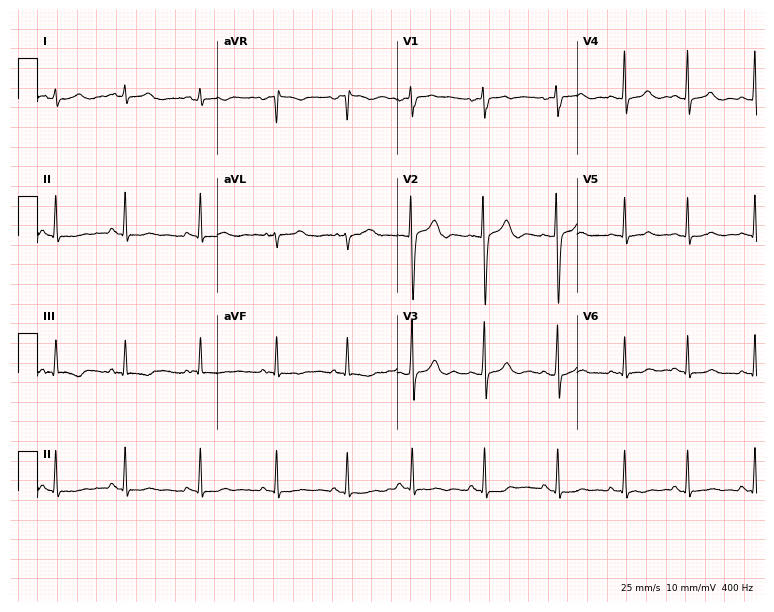
12-lead ECG from a female, 19 years old. Screened for six findings — first-degree AV block, right bundle branch block, left bundle branch block, sinus bradycardia, atrial fibrillation, sinus tachycardia — none is recorded.